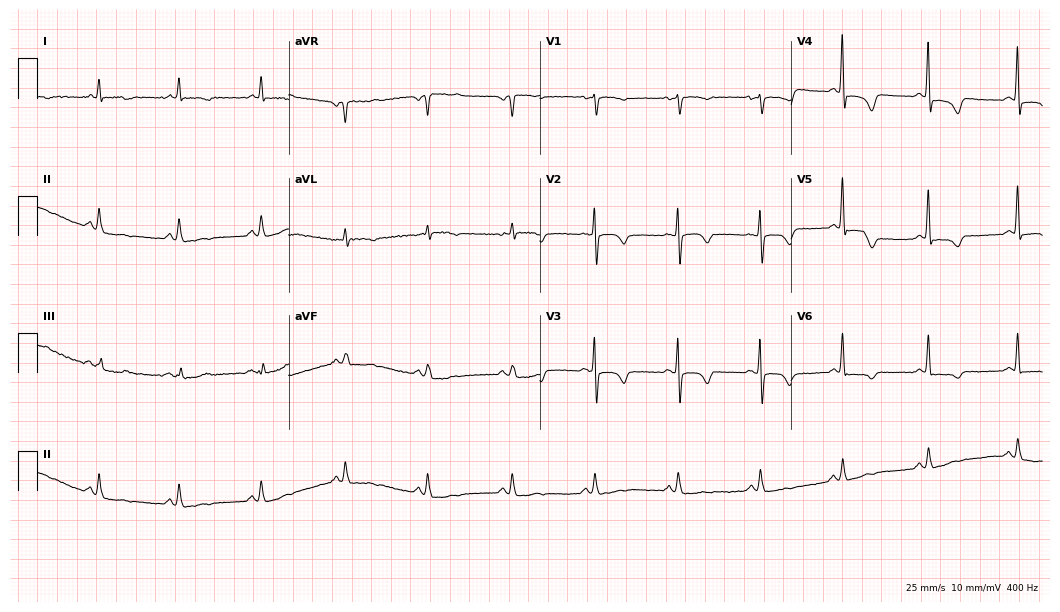
ECG (10.2-second recording at 400 Hz) — a 78-year-old woman. Screened for six findings — first-degree AV block, right bundle branch block, left bundle branch block, sinus bradycardia, atrial fibrillation, sinus tachycardia — none is recorded.